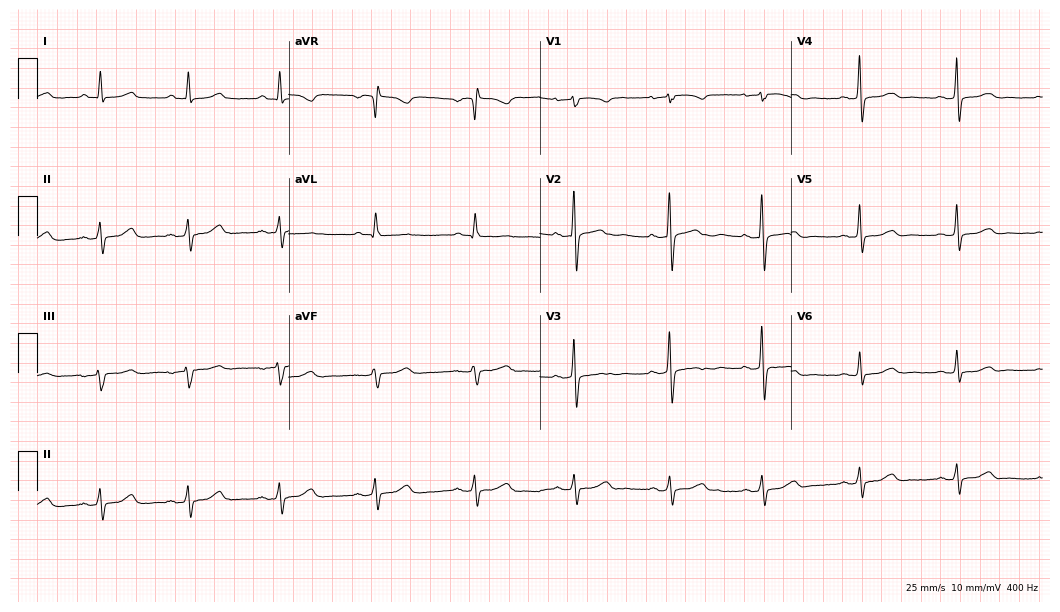
Electrocardiogram (10.2-second recording at 400 Hz), a 75-year-old female patient. Of the six screened findings (first-degree AV block, right bundle branch block (RBBB), left bundle branch block (LBBB), sinus bradycardia, atrial fibrillation (AF), sinus tachycardia), none is recorded. Findings outside these six are not listed.